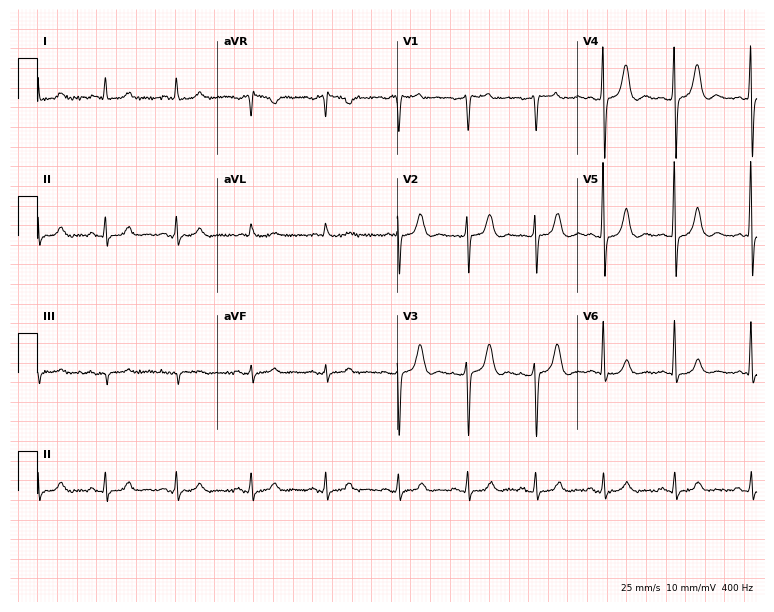
12-lead ECG from a 43-year-old female patient (7.3-second recording at 400 Hz). Recorded interpretation: within normal limits.